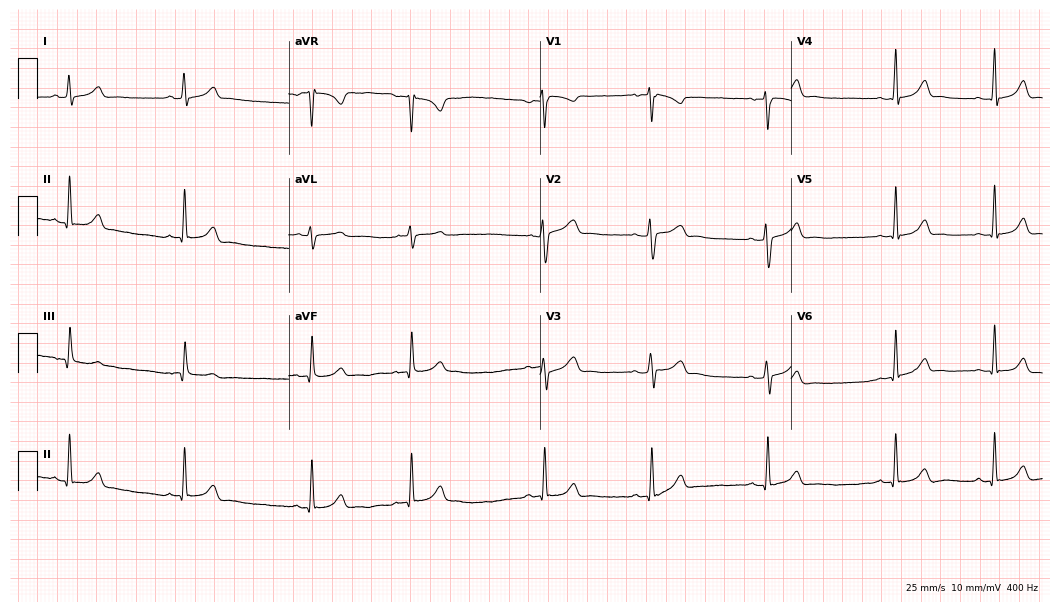
12-lead ECG from a 20-year-old female patient. Recorded interpretation: within normal limits.